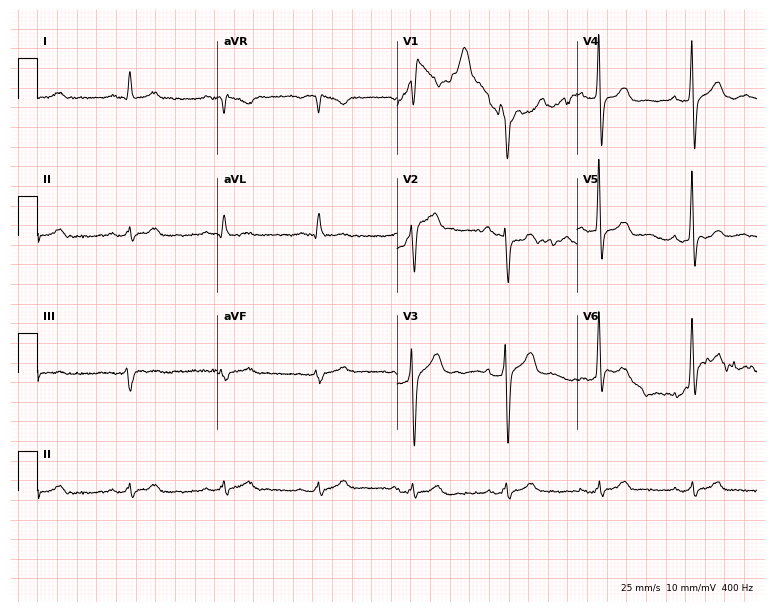
12-lead ECG from a man, 61 years old (7.3-second recording at 400 Hz). Recorded interpretation: within normal limits.